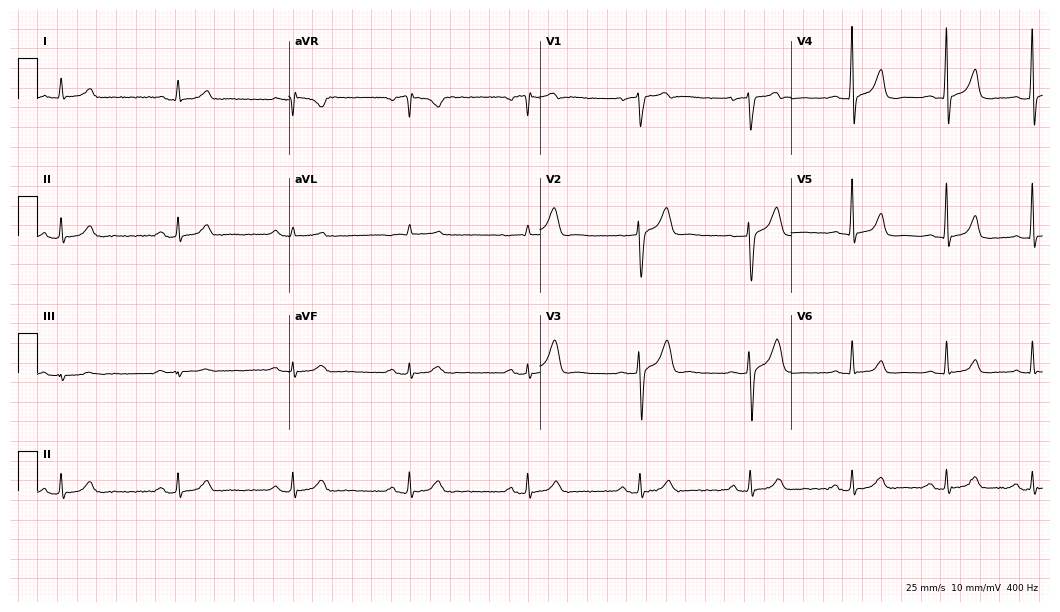
12-lead ECG (10.2-second recording at 400 Hz) from a male, 83 years old. Labelled as a normal ECG.